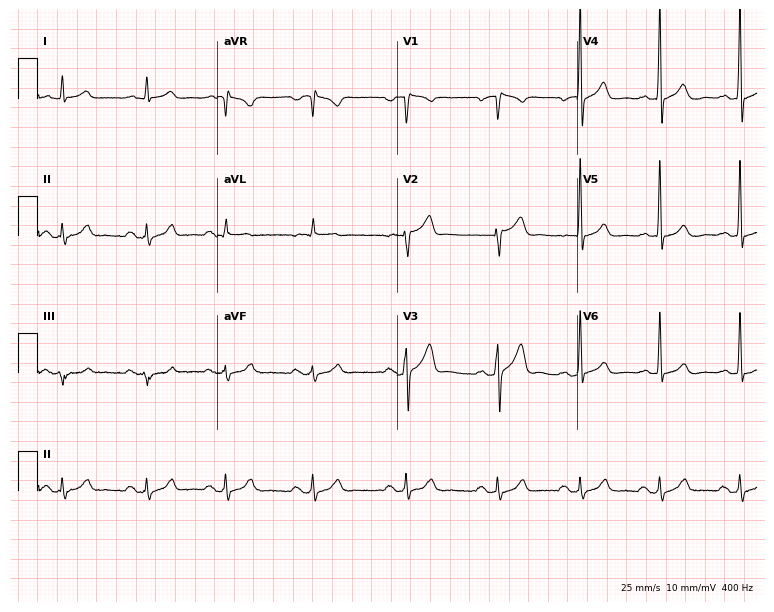
ECG — a female patient, 44 years old. Labelled as a normal ECG.